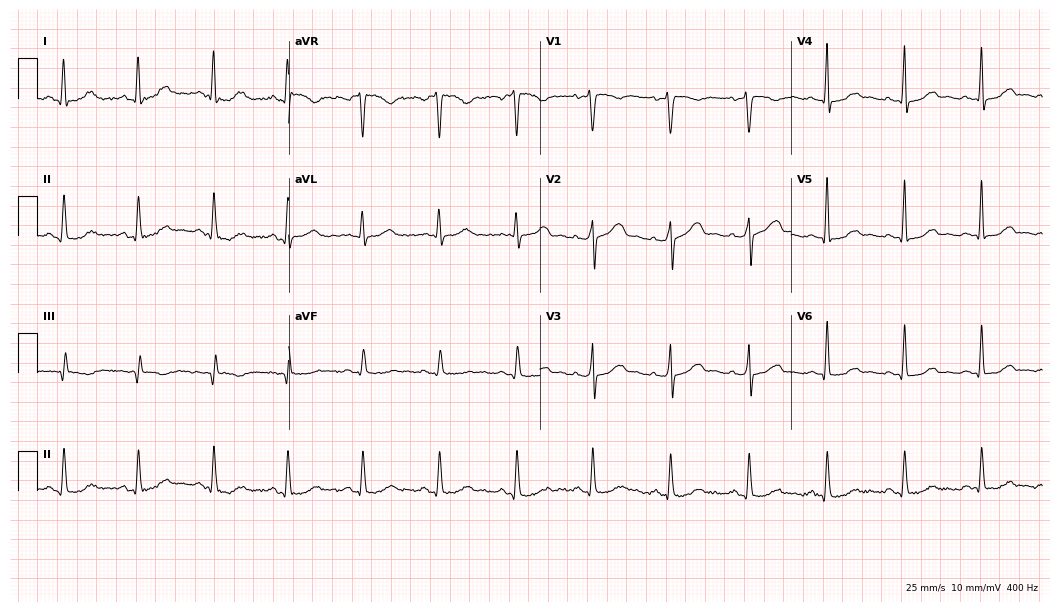
12-lead ECG from a woman, 52 years old. Screened for six findings — first-degree AV block, right bundle branch block (RBBB), left bundle branch block (LBBB), sinus bradycardia, atrial fibrillation (AF), sinus tachycardia — none is recorded.